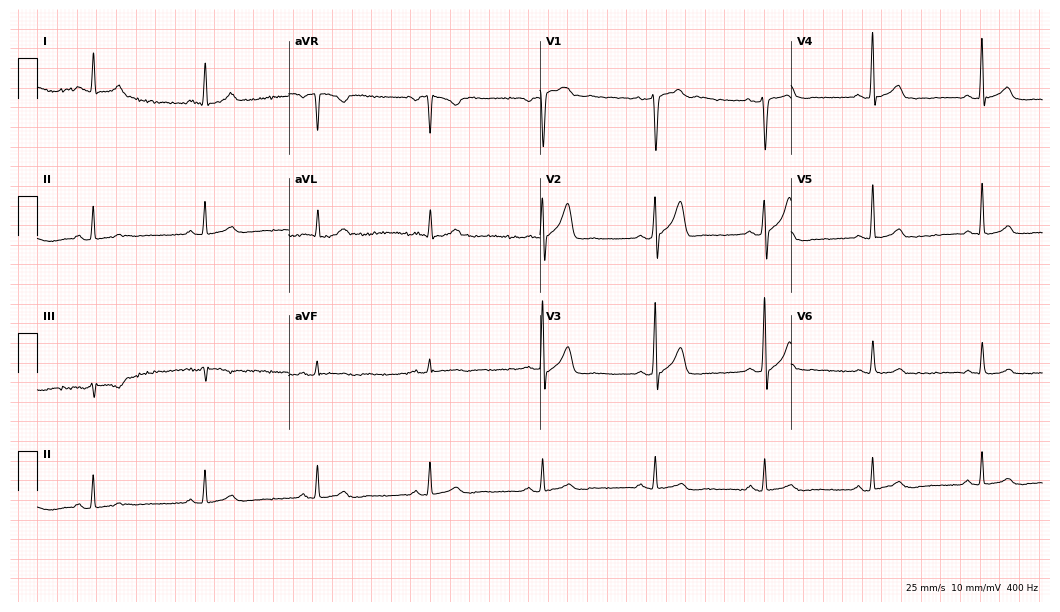
Electrocardiogram (10.2-second recording at 400 Hz), a 33-year-old male. Overall reading on record: normal ECG.